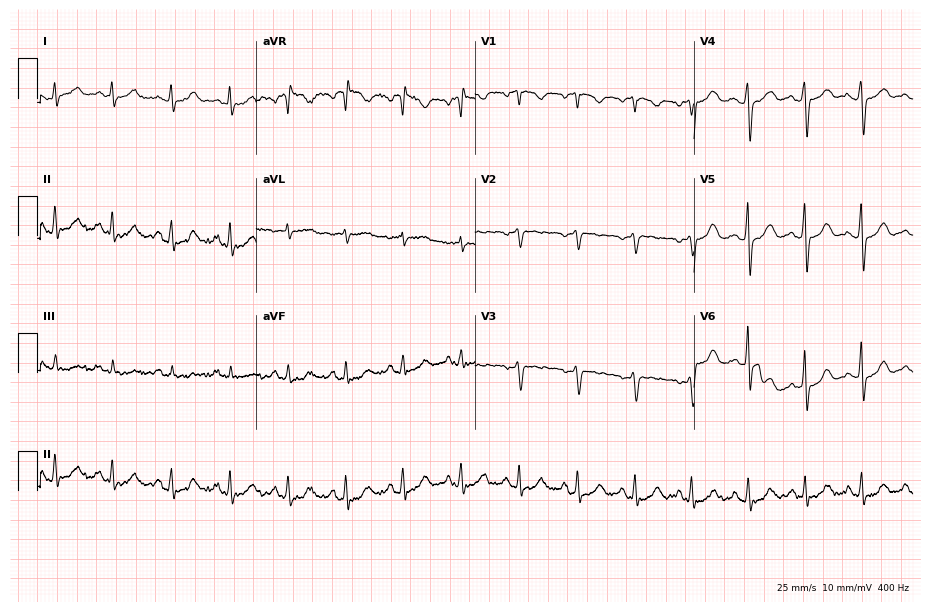
Resting 12-lead electrocardiogram. Patient: a 58-year-old woman. None of these six findings is recorded: first-degree AV block, right bundle branch block, left bundle branch block, sinus bradycardia, atrial fibrillation, sinus tachycardia.